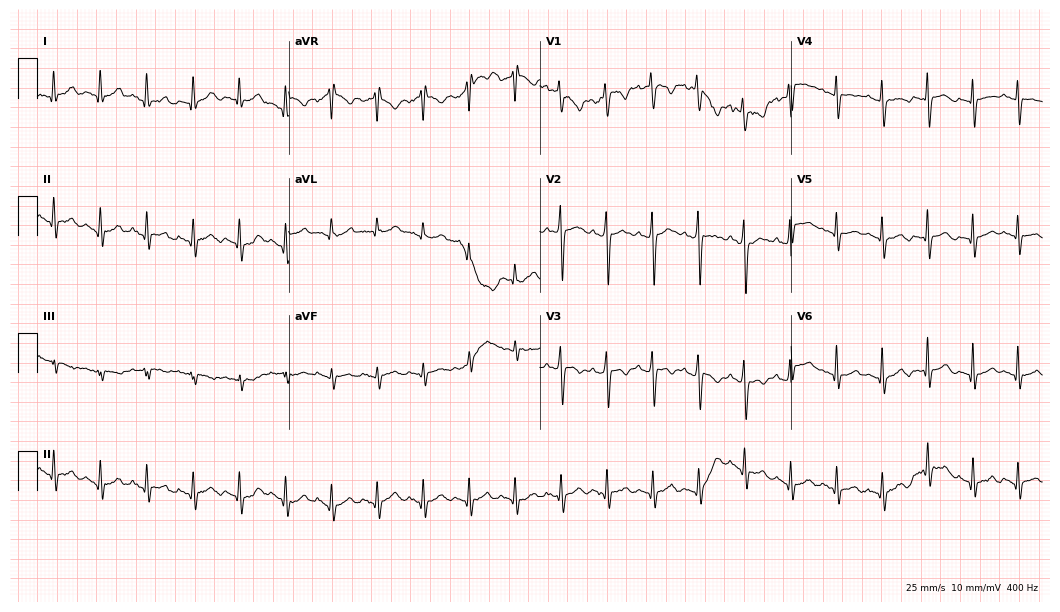
ECG (10.2-second recording at 400 Hz) — a 22-year-old male patient. Findings include sinus tachycardia (a sinus rate of 100 beats per minute or more).